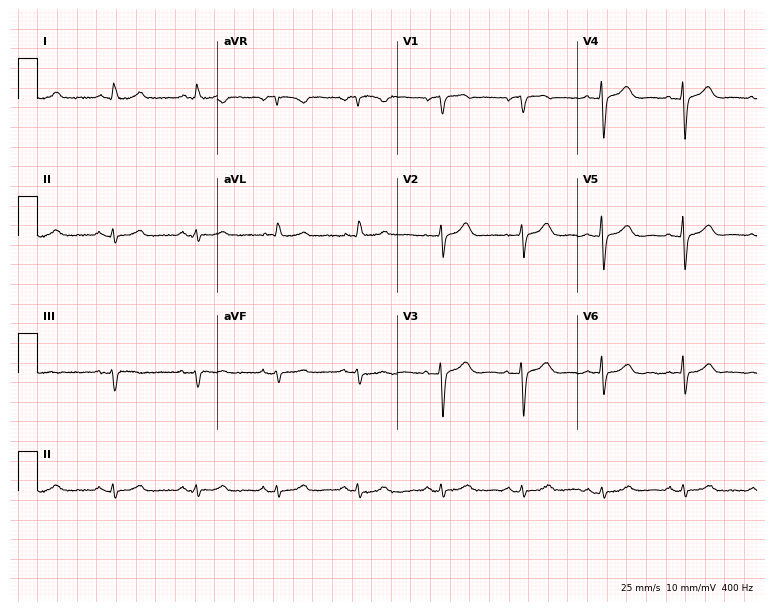
Electrocardiogram (7.3-second recording at 400 Hz), a woman, 61 years old. Of the six screened findings (first-degree AV block, right bundle branch block (RBBB), left bundle branch block (LBBB), sinus bradycardia, atrial fibrillation (AF), sinus tachycardia), none is recorded. Findings outside these six are not listed.